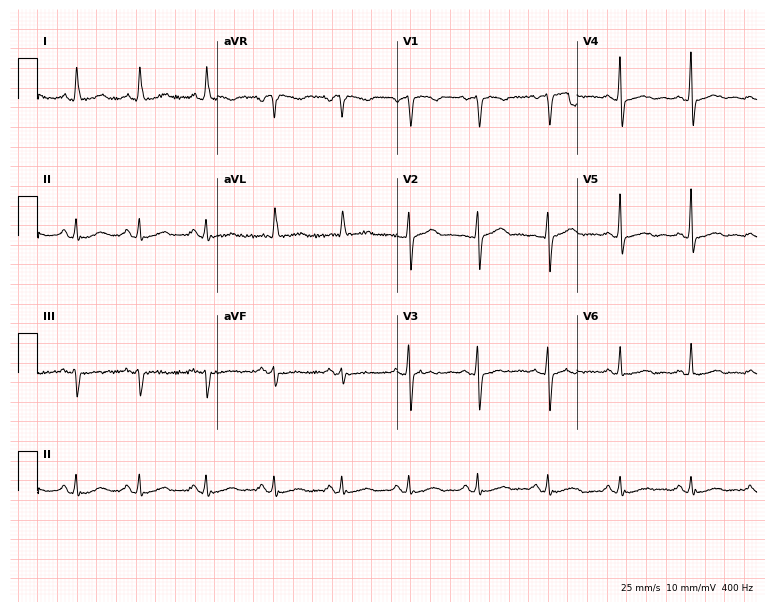
Resting 12-lead electrocardiogram. Patient: a 56-year-old female. Read as a normal ECG.